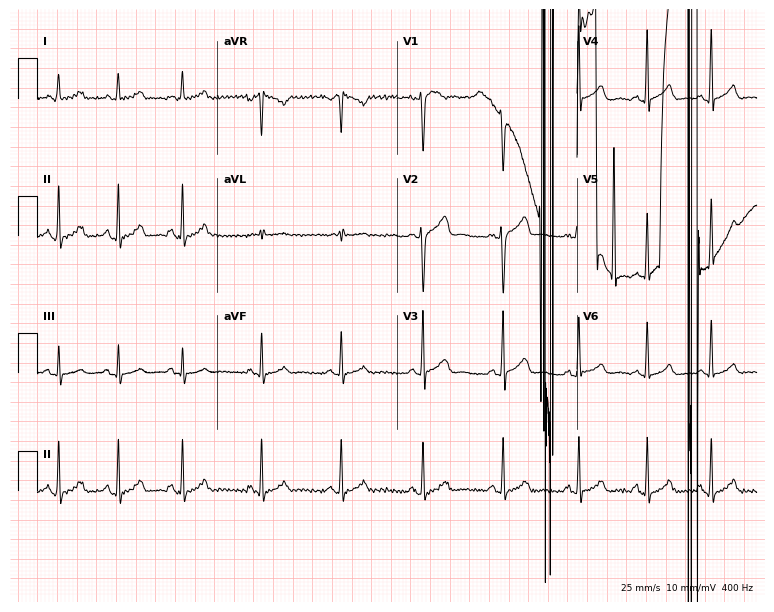
ECG — a male patient, 37 years old. Screened for six findings — first-degree AV block, right bundle branch block (RBBB), left bundle branch block (LBBB), sinus bradycardia, atrial fibrillation (AF), sinus tachycardia — none is recorded. Other findings, if any, are not listed.